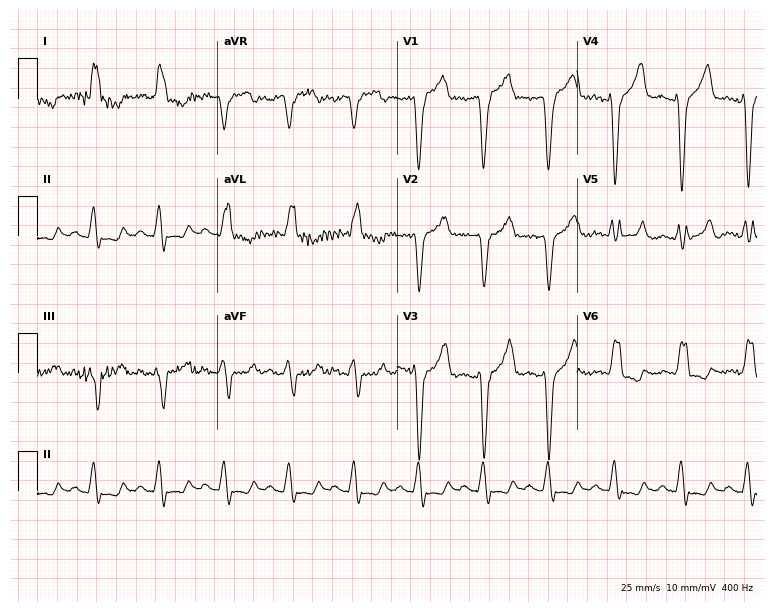
12-lead ECG from a male patient, 81 years old (7.3-second recording at 400 Hz). Shows left bundle branch block (LBBB).